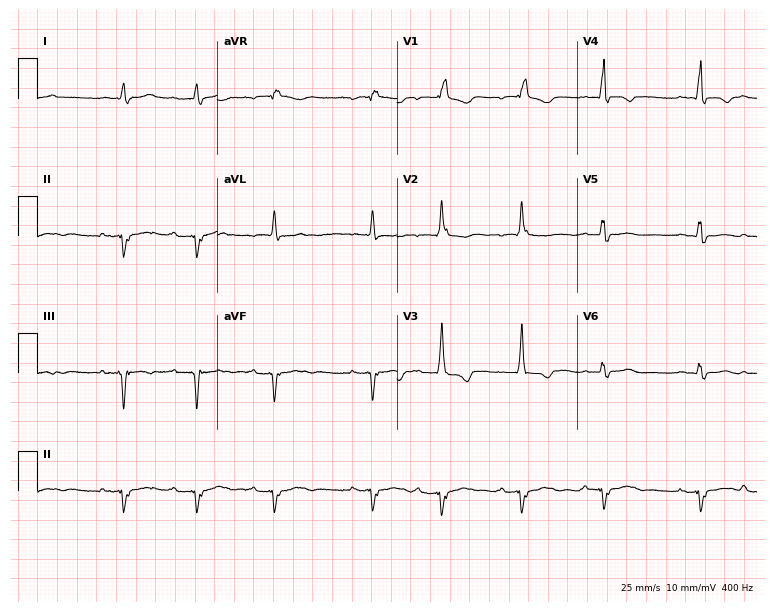
ECG (7.3-second recording at 400 Hz) — an 80-year-old male. Screened for six findings — first-degree AV block, right bundle branch block, left bundle branch block, sinus bradycardia, atrial fibrillation, sinus tachycardia — none is recorded. Findings outside these six are not listed.